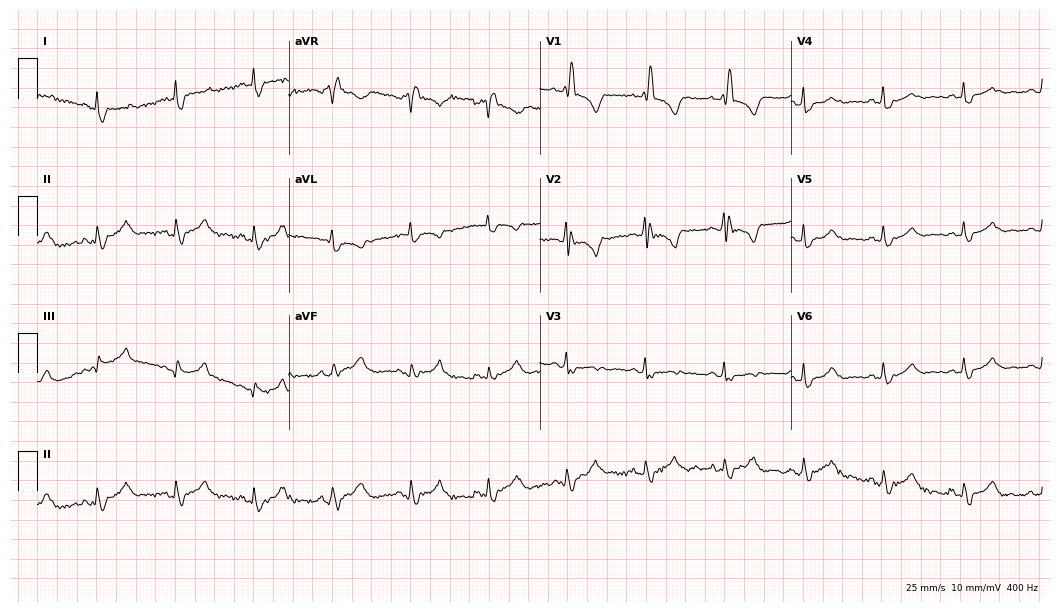
Electrocardiogram (10.2-second recording at 400 Hz), a female patient, 73 years old. Of the six screened findings (first-degree AV block, right bundle branch block, left bundle branch block, sinus bradycardia, atrial fibrillation, sinus tachycardia), none is recorded.